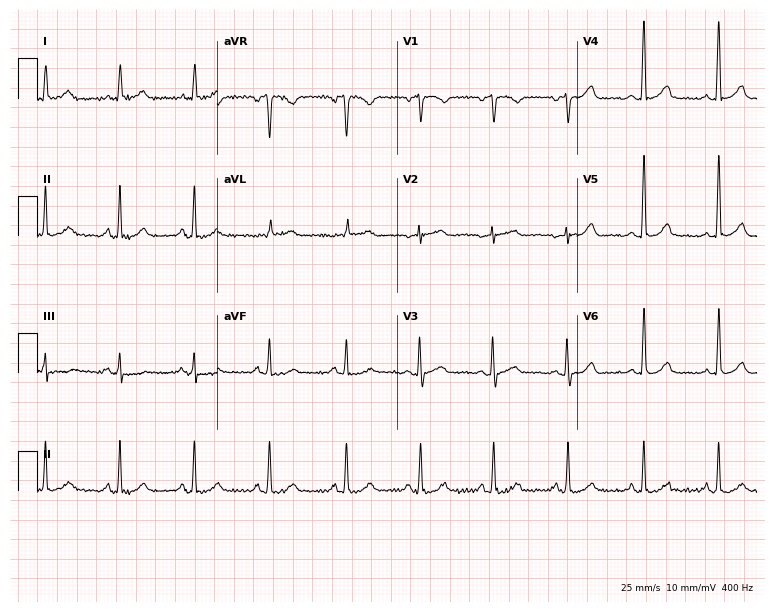
12-lead ECG from a female, 65 years old (7.3-second recording at 400 Hz). Recorded interpretation: within normal limits.